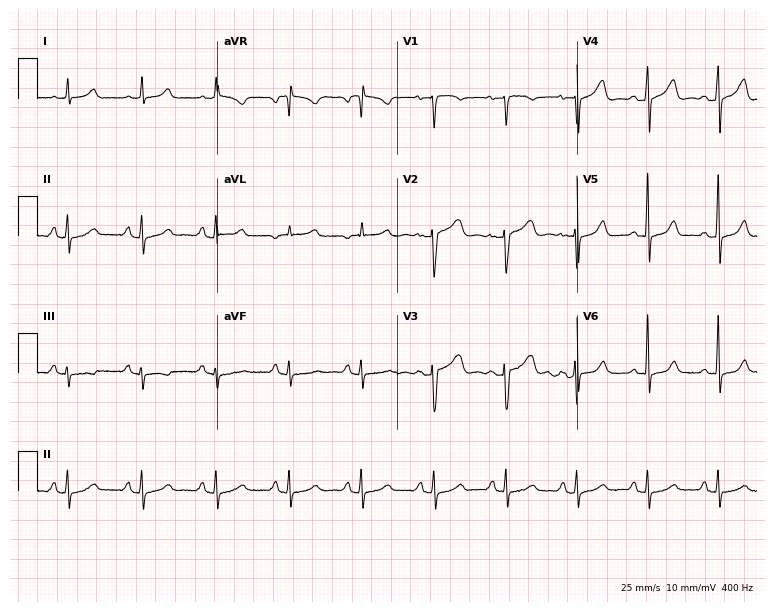
12-lead ECG from a female, 44 years old (7.3-second recording at 400 Hz). Recorded interpretation: within normal limits.